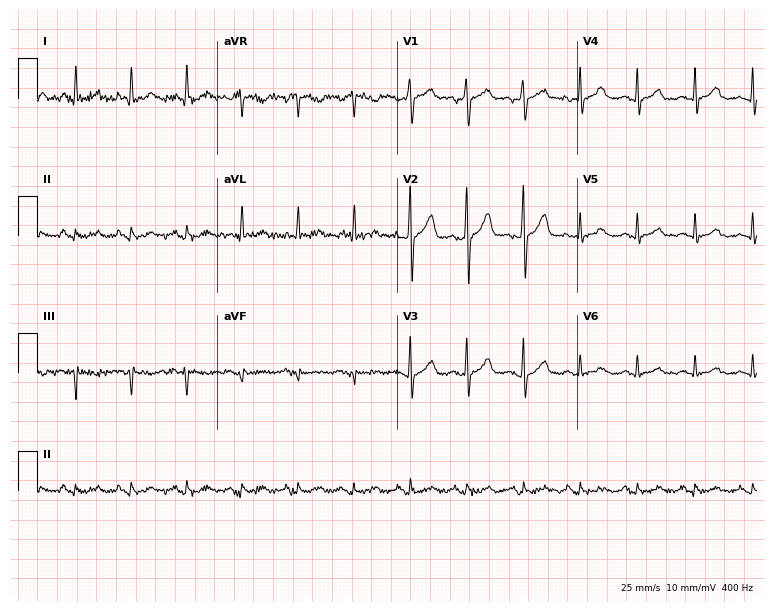
Resting 12-lead electrocardiogram (7.3-second recording at 400 Hz). Patient: a male, 34 years old. None of these six findings is recorded: first-degree AV block, right bundle branch block, left bundle branch block, sinus bradycardia, atrial fibrillation, sinus tachycardia. Findings outside these six are not listed.